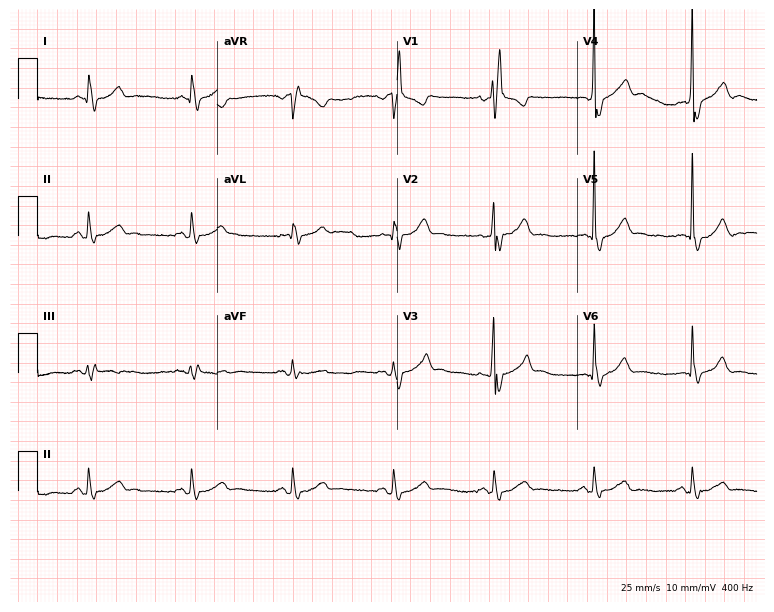
Electrocardiogram (7.3-second recording at 400 Hz), a 58-year-old male. Interpretation includes right bundle branch block.